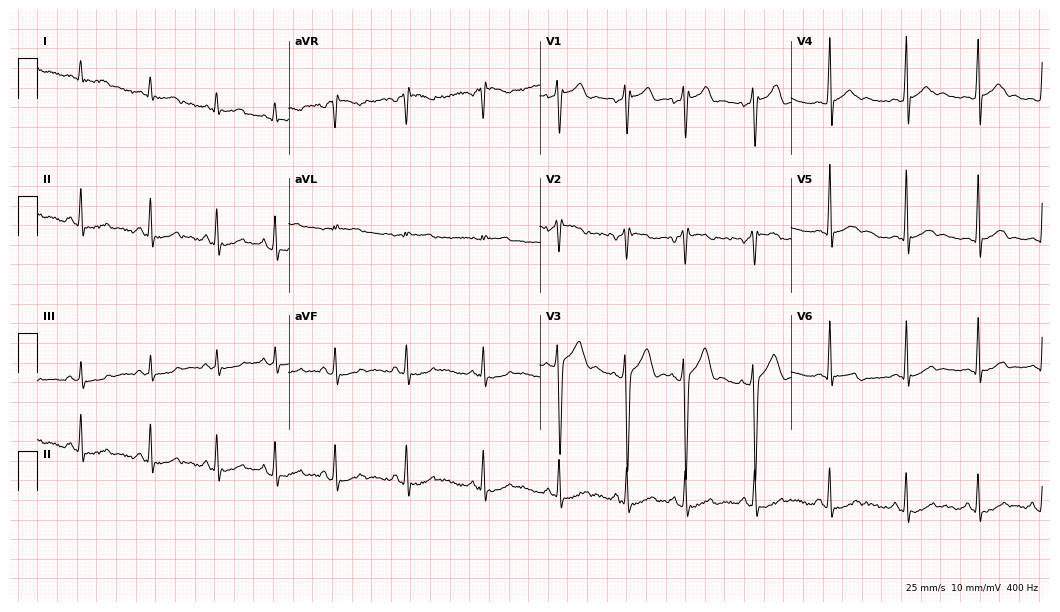
Electrocardiogram, an 18-year-old man. Overall reading on record: normal ECG.